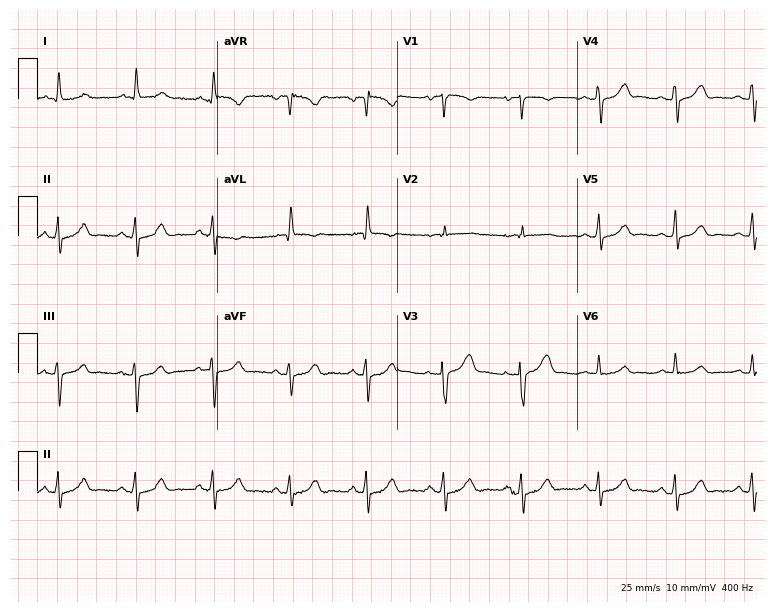
ECG (7.3-second recording at 400 Hz) — a 72-year-old male. Screened for six findings — first-degree AV block, right bundle branch block, left bundle branch block, sinus bradycardia, atrial fibrillation, sinus tachycardia — none is recorded. Other findings, if any, are not listed.